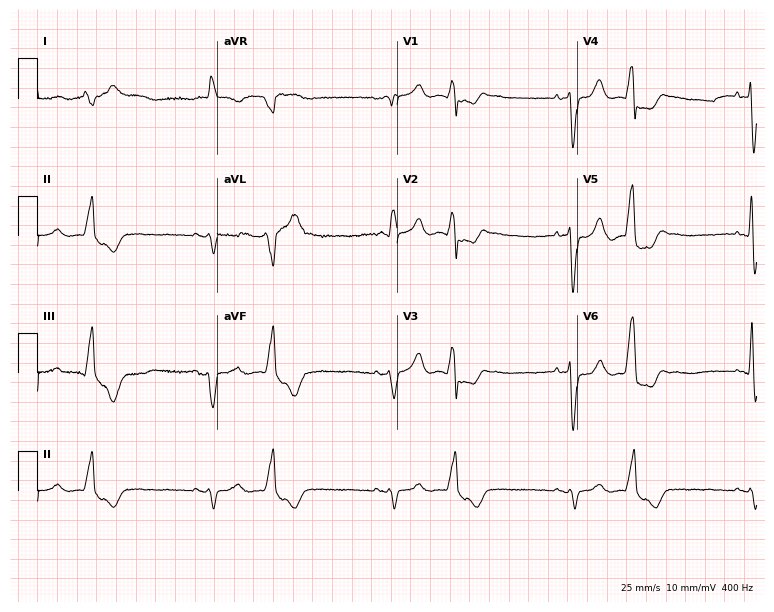
12-lead ECG from an 84-year-old man. Findings include left bundle branch block.